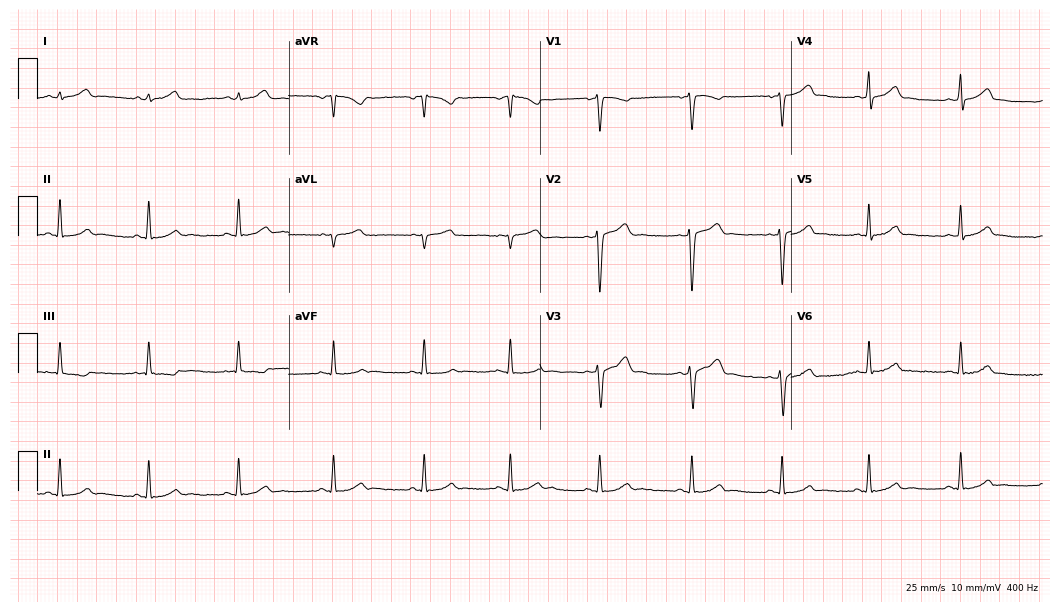
12-lead ECG from a 31-year-old female patient. Recorded interpretation: within normal limits.